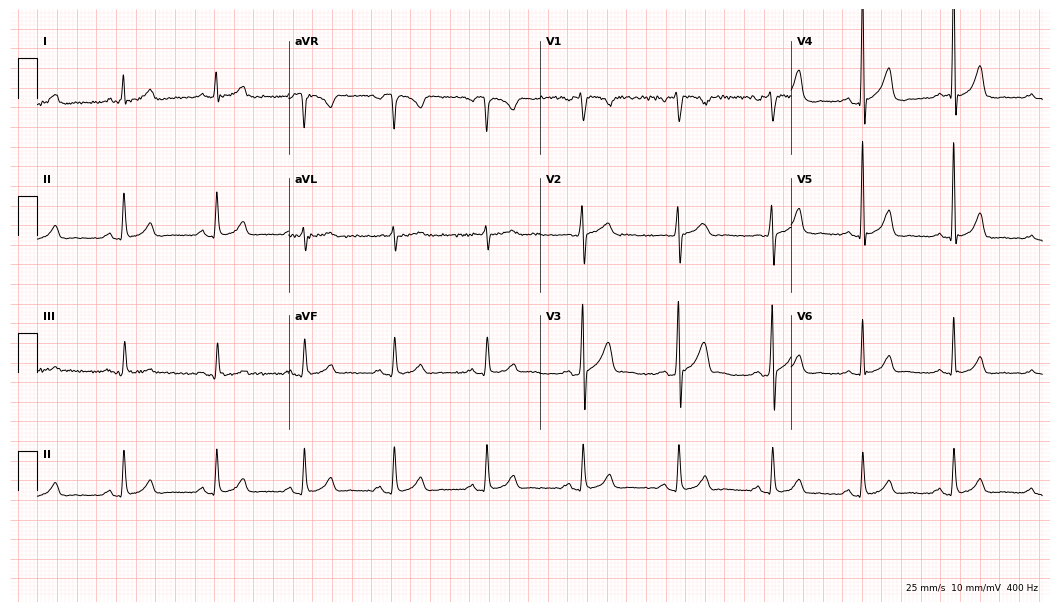
ECG — a woman, 43 years old. Screened for six findings — first-degree AV block, right bundle branch block (RBBB), left bundle branch block (LBBB), sinus bradycardia, atrial fibrillation (AF), sinus tachycardia — none is recorded.